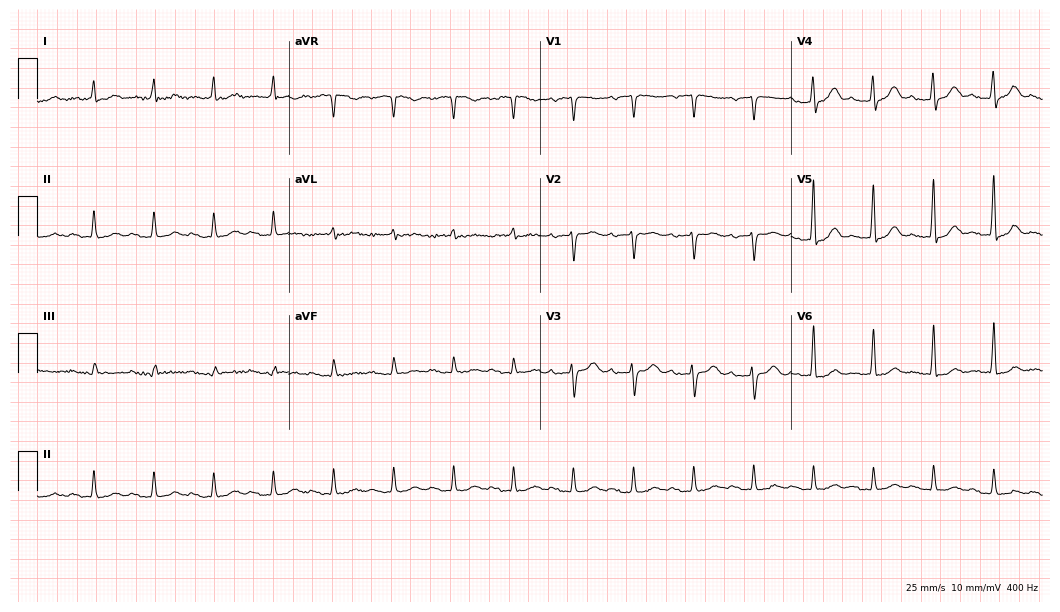
ECG — a 78-year-old male. Findings include first-degree AV block.